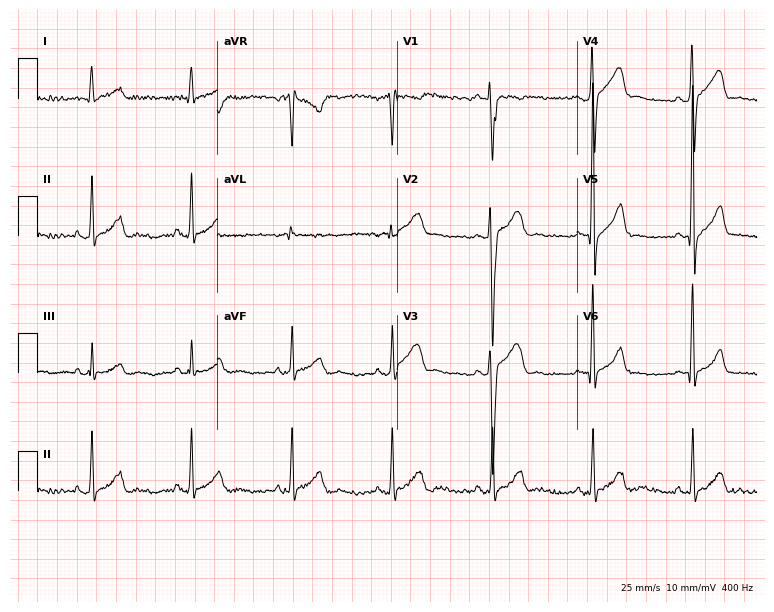
12-lead ECG (7.3-second recording at 400 Hz) from a 19-year-old male patient. Screened for six findings — first-degree AV block, right bundle branch block, left bundle branch block, sinus bradycardia, atrial fibrillation, sinus tachycardia — none is recorded.